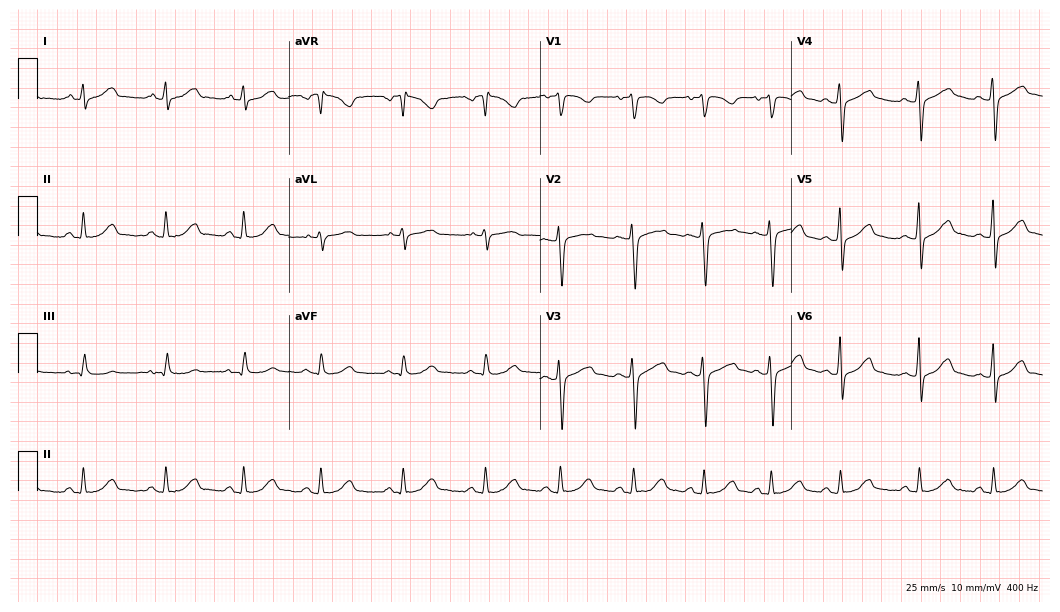
ECG — a female patient, 34 years old. Screened for six findings — first-degree AV block, right bundle branch block (RBBB), left bundle branch block (LBBB), sinus bradycardia, atrial fibrillation (AF), sinus tachycardia — none is recorded.